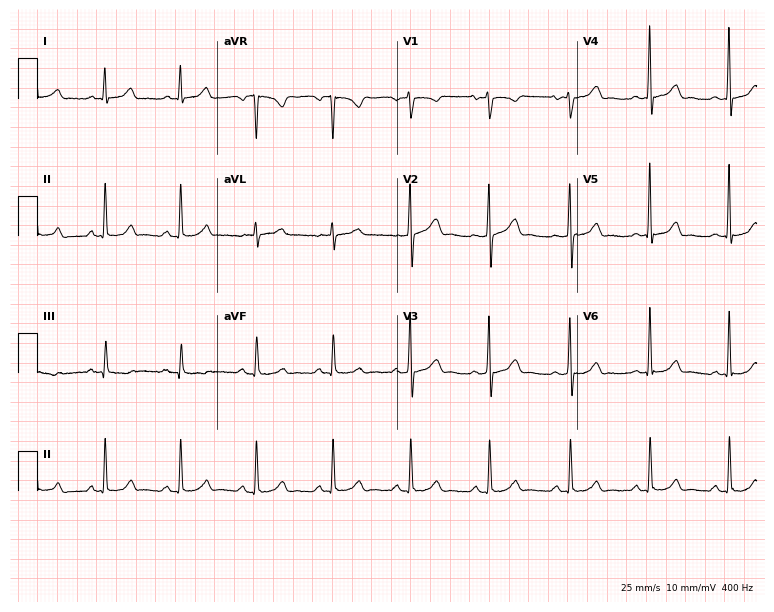
Standard 12-lead ECG recorded from a woman, 44 years old. Read as a normal ECG.